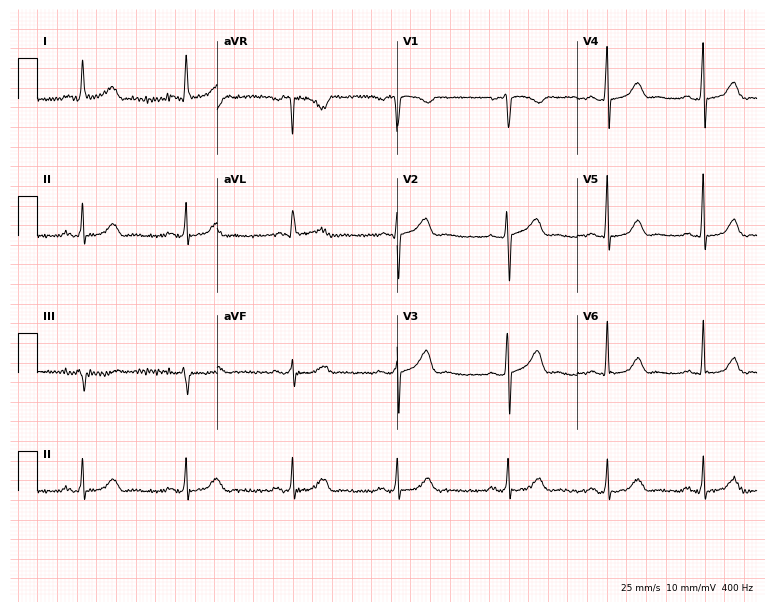
Resting 12-lead electrocardiogram (7.3-second recording at 400 Hz). Patient: a female, 55 years old. Read as a normal ECG.